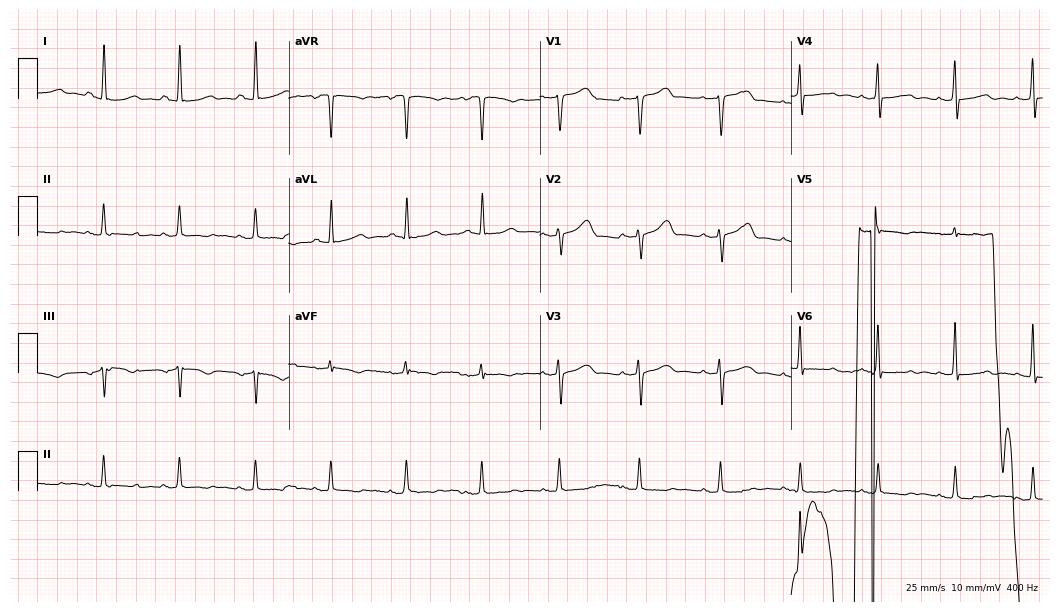
Resting 12-lead electrocardiogram. Patient: a 58-year-old female. None of these six findings is recorded: first-degree AV block, right bundle branch block, left bundle branch block, sinus bradycardia, atrial fibrillation, sinus tachycardia. Other findings, if any, are not listed.